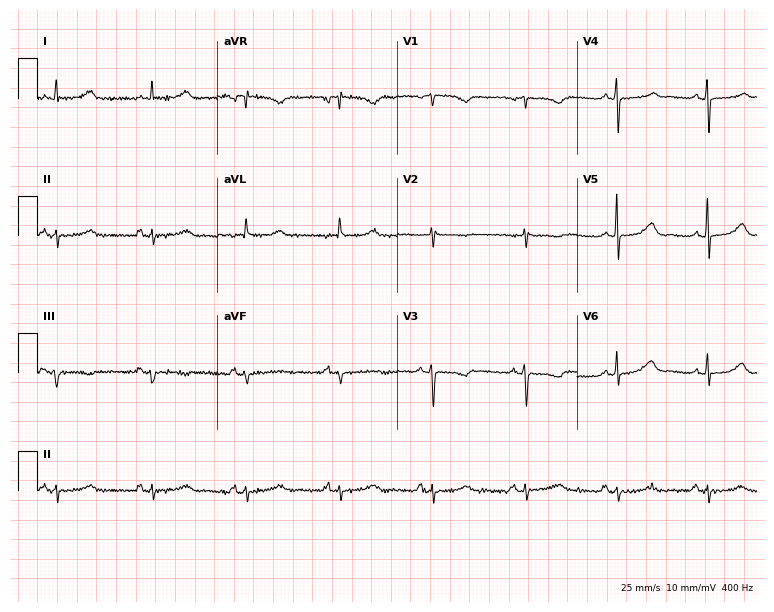
ECG — a female, 85 years old. Screened for six findings — first-degree AV block, right bundle branch block (RBBB), left bundle branch block (LBBB), sinus bradycardia, atrial fibrillation (AF), sinus tachycardia — none is recorded. Findings outside these six are not listed.